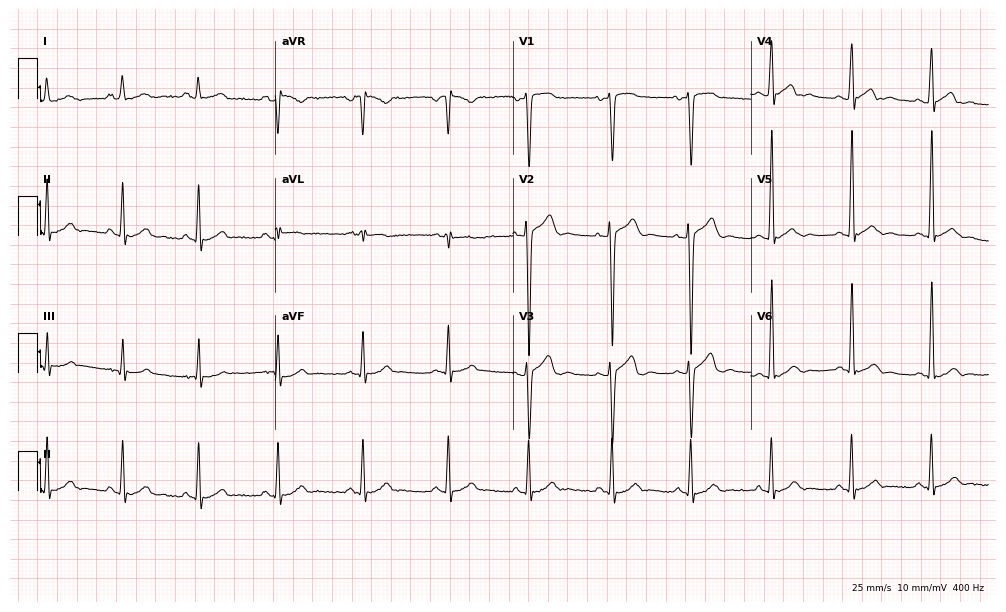
Resting 12-lead electrocardiogram. Patient: a 17-year-old male. Read as a normal ECG.